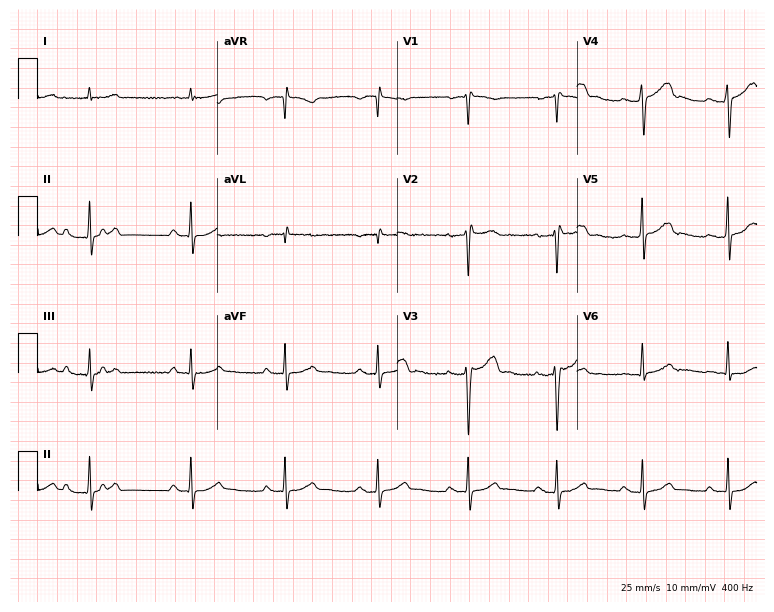
Standard 12-lead ECG recorded from a 62-year-old male patient (7.3-second recording at 400 Hz). None of these six findings is recorded: first-degree AV block, right bundle branch block (RBBB), left bundle branch block (LBBB), sinus bradycardia, atrial fibrillation (AF), sinus tachycardia.